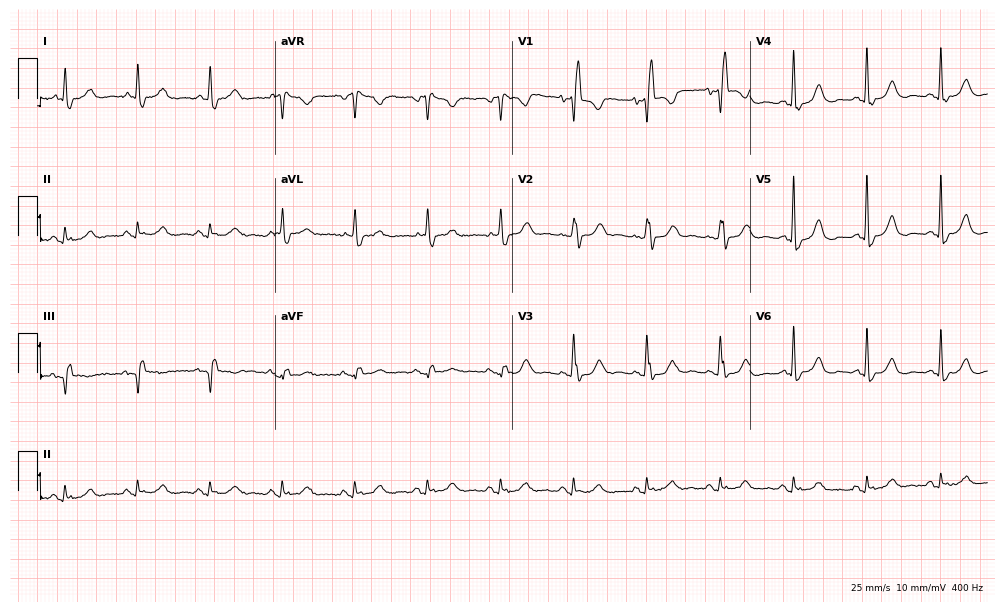
Electrocardiogram, a woman, 85 years old. Interpretation includes right bundle branch block.